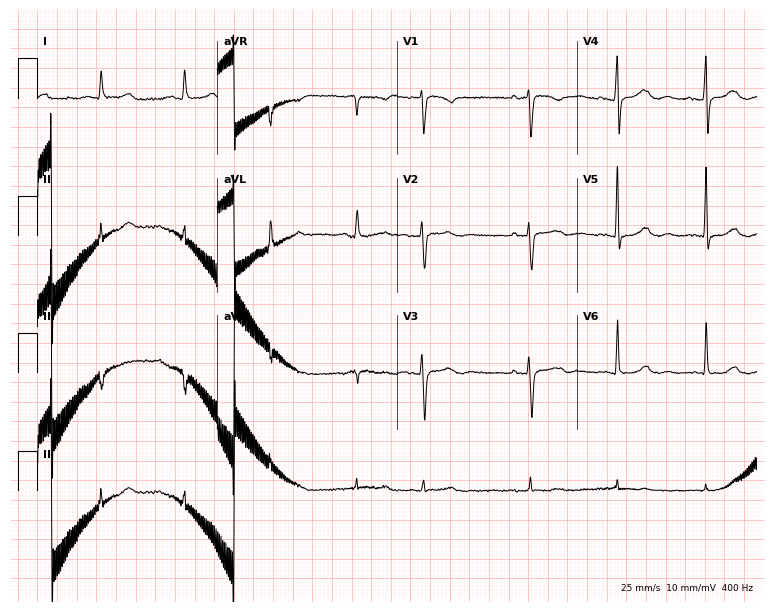
Electrocardiogram, a female patient, 72 years old. Of the six screened findings (first-degree AV block, right bundle branch block (RBBB), left bundle branch block (LBBB), sinus bradycardia, atrial fibrillation (AF), sinus tachycardia), none is recorded.